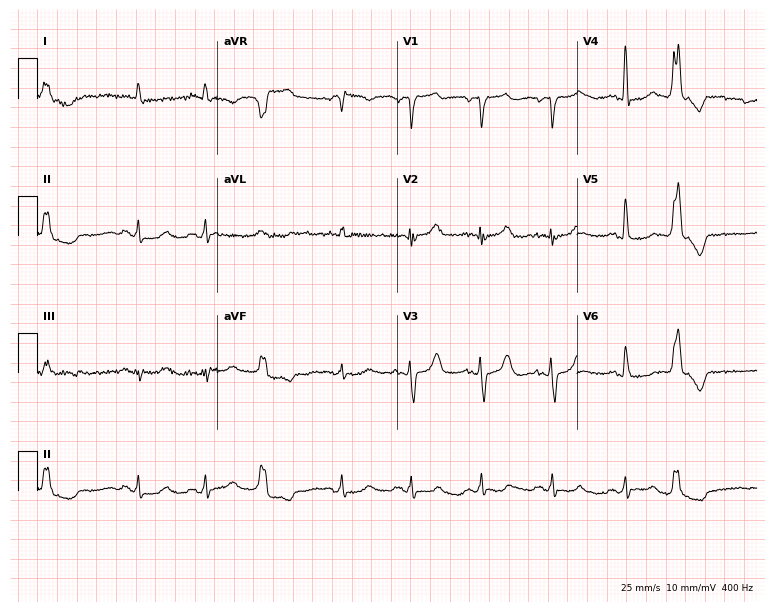
Electrocardiogram, a man, 69 years old. Of the six screened findings (first-degree AV block, right bundle branch block (RBBB), left bundle branch block (LBBB), sinus bradycardia, atrial fibrillation (AF), sinus tachycardia), none is recorded.